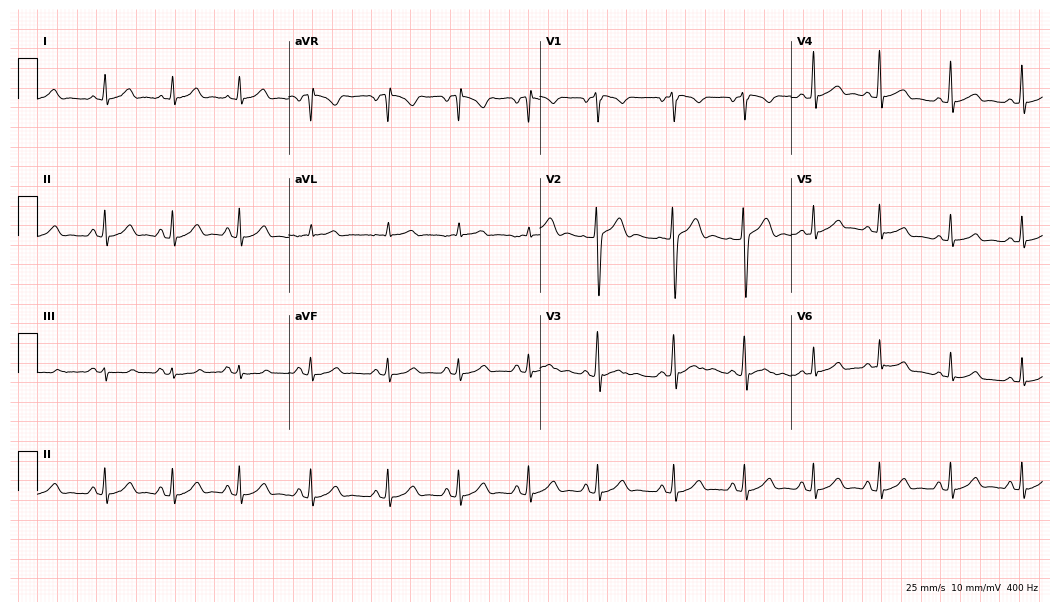
Electrocardiogram, a female patient, 18 years old. Of the six screened findings (first-degree AV block, right bundle branch block, left bundle branch block, sinus bradycardia, atrial fibrillation, sinus tachycardia), none is recorded.